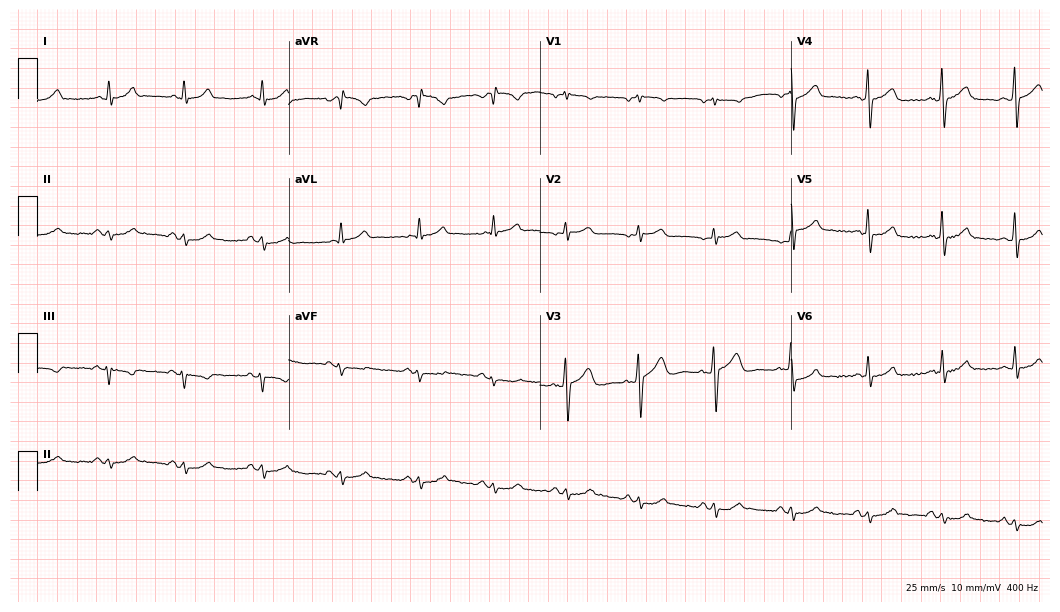
12-lead ECG (10.2-second recording at 400 Hz) from a 48-year-old male. Labelled as a normal ECG.